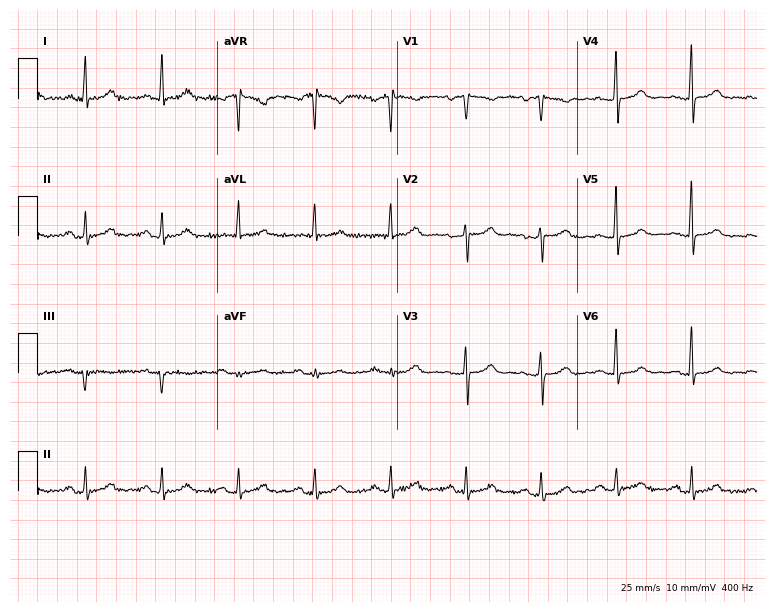
Standard 12-lead ECG recorded from a 72-year-old female. Read as a normal ECG.